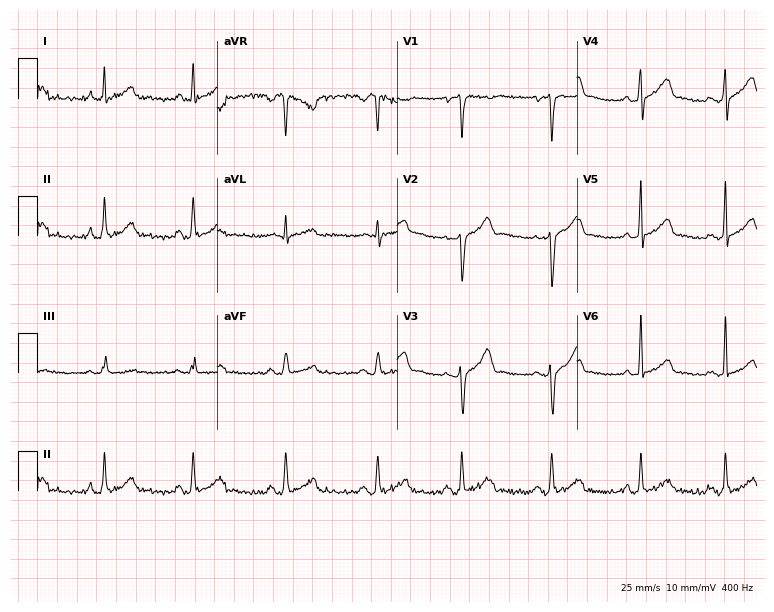
12-lead ECG from a male, 31 years old. Labelled as a normal ECG.